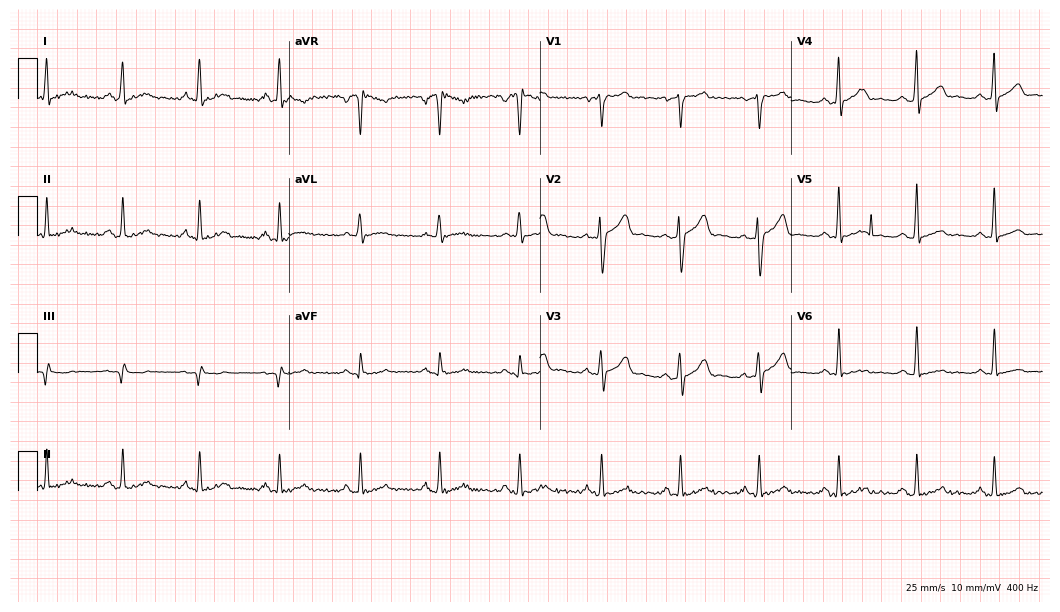
Electrocardiogram, a 33-year-old male. Of the six screened findings (first-degree AV block, right bundle branch block (RBBB), left bundle branch block (LBBB), sinus bradycardia, atrial fibrillation (AF), sinus tachycardia), none is recorded. Other findings, if any, are not listed.